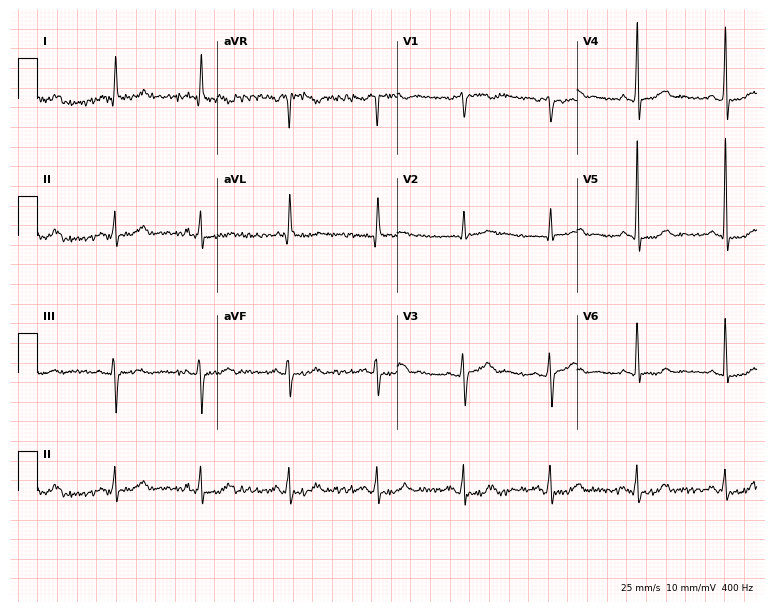
Resting 12-lead electrocardiogram. Patient: a male, 76 years old. Read as a normal ECG.